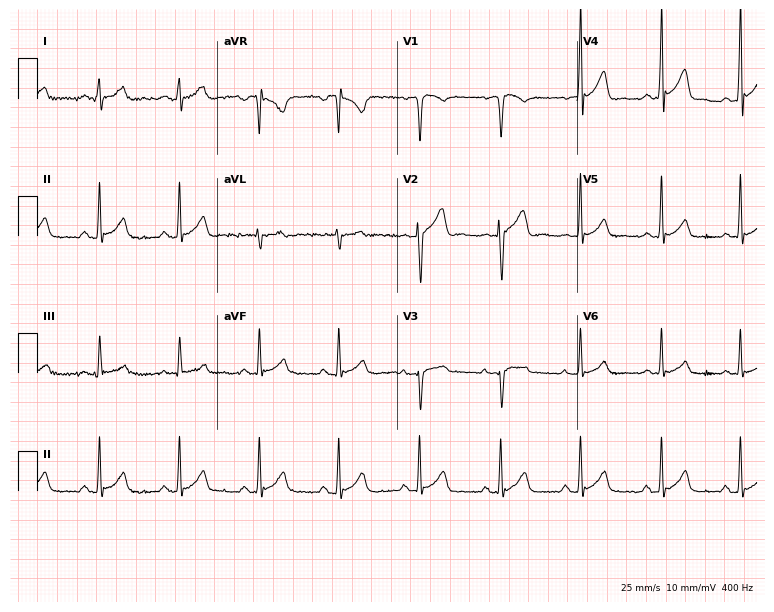
Resting 12-lead electrocardiogram (7.3-second recording at 400 Hz). Patient: a male, 29 years old. Read as a normal ECG.